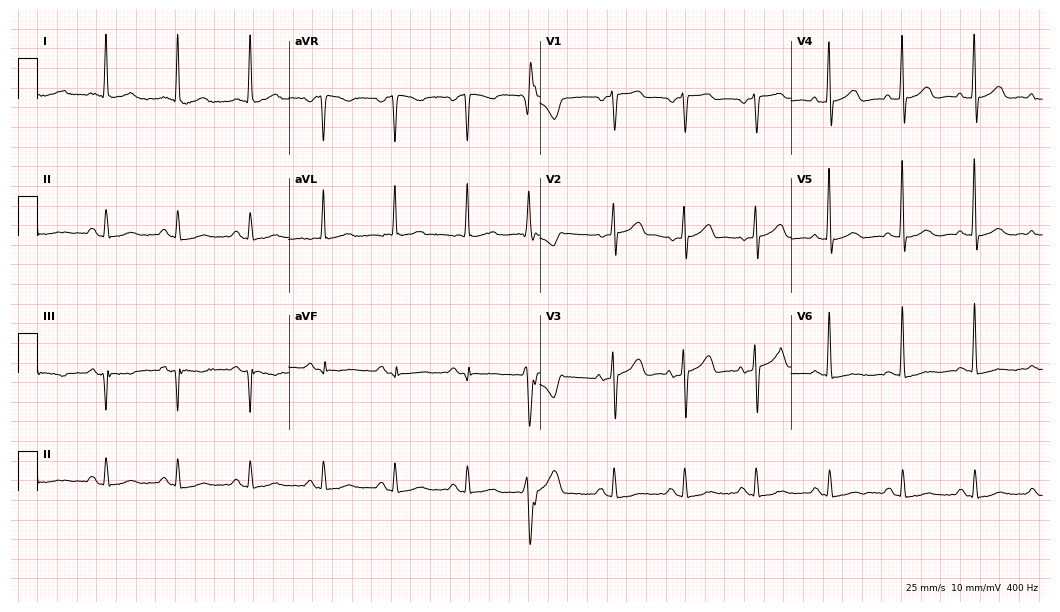
Resting 12-lead electrocardiogram (10.2-second recording at 400 Hz). Patient: a woman, 83 years old. None of these six findings is recorded: first-degree AV block, right bundle branch block, left bundle branch block, sinus bradycardia, atrial fibrillation, sinus tachycardia. Findings outside these six are not listed.